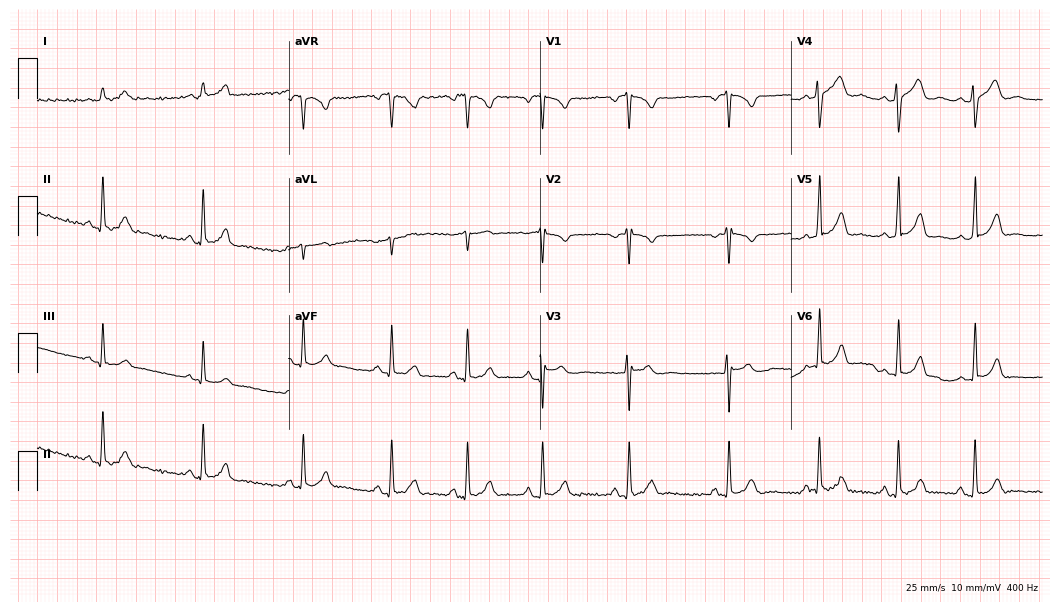
Standard 12-lead ECG recorded from a 24-year-old woman (10.2-second recording at 400 Hz). Read as a normal ECG.